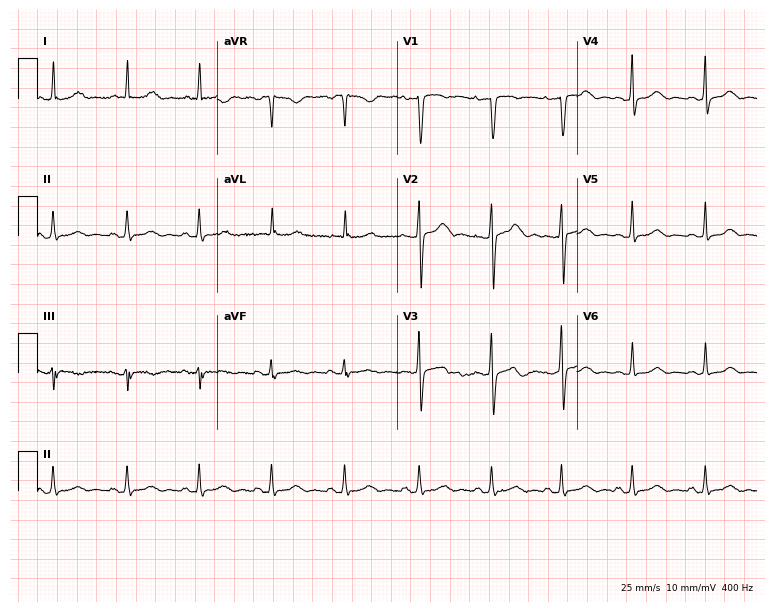
12-lead ECG from a 46-year-old woman. Recorded interpretation: within normal limits.